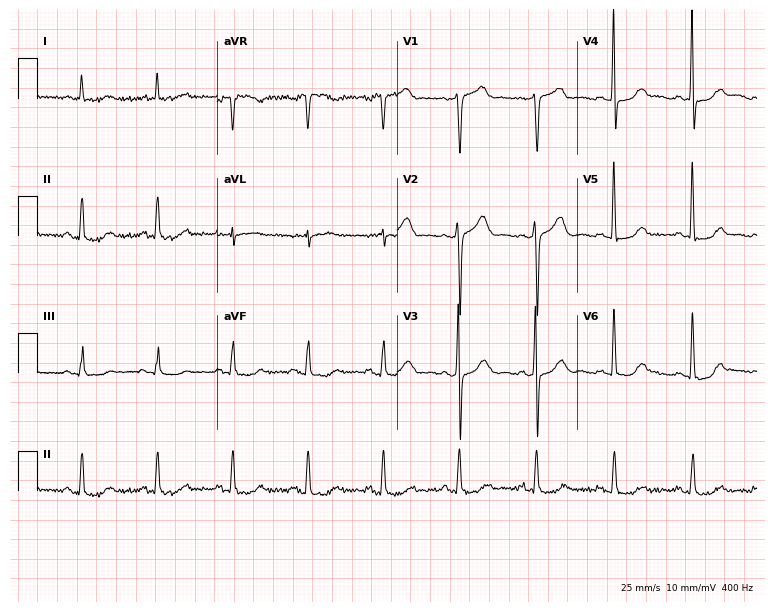
Resting 12-lead electrocardiogram. Patient: a man, 69 years old. Read as a normal ECG.